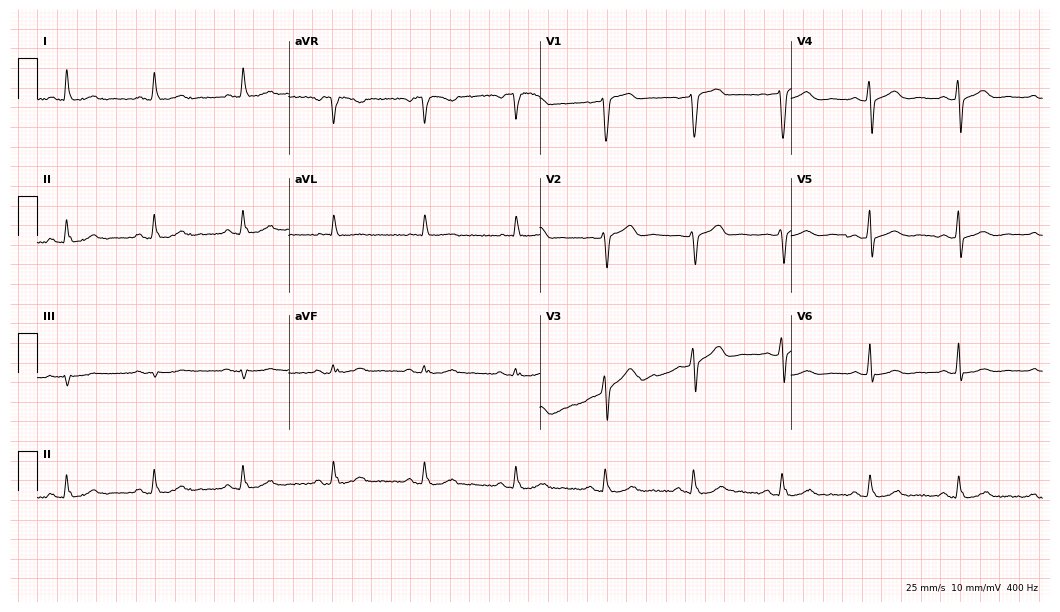
Electrocardiogram, a male patient, 60 years old. Overall reading on record: normal ECG.